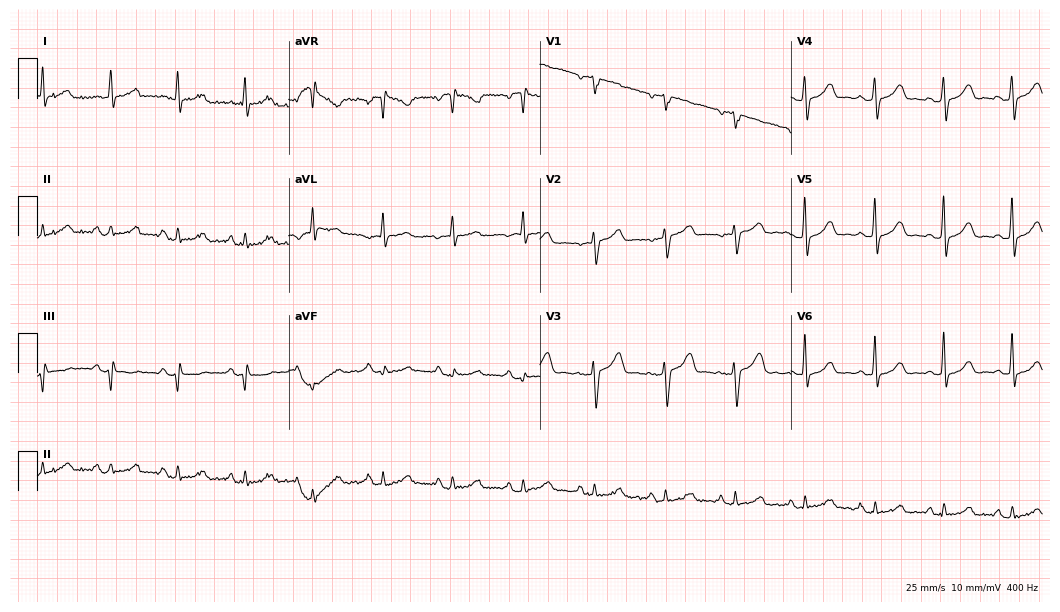
12-lead ECG (10.2-second recording at 400 Hz) from a 50-year-old female. Screened for six findings — first-degree AV block, right bundle branch block, left bundle branch block, sinus bradycardia, atrial fibrillation, sinus tachycardia — none is recorded. Findings outside these six are not listed.